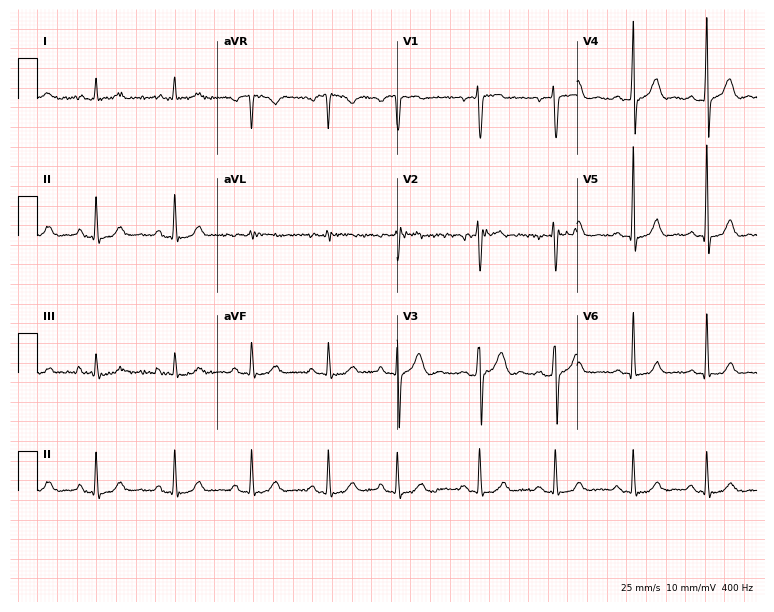
ECG — a male patient, 31 years old. Screened for six findings — first-degree AV block, right bundle branch block, left bundle branch block, sinus bradycardia, atrial fibrillation, sinus tachycardia — none is recorded. Other findings, if any, are not listed.